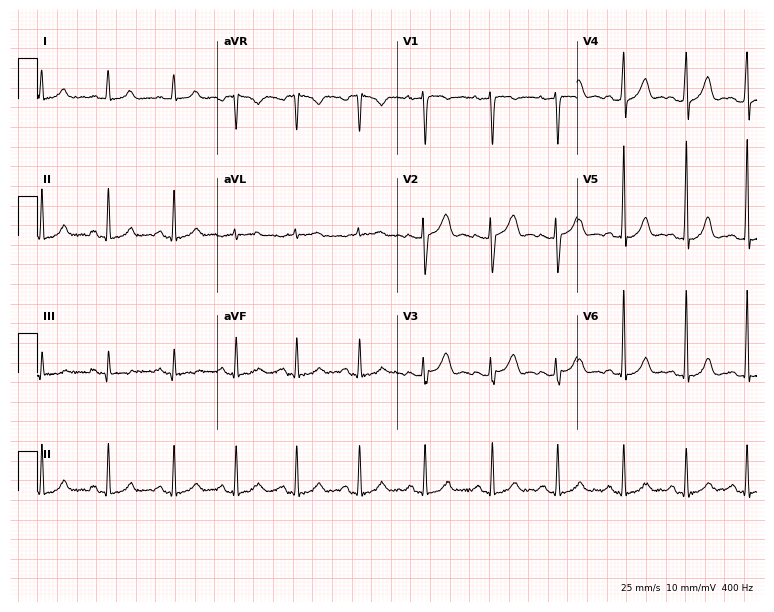
12-lead ECG from a 48-year-old female patient. Screened for six findings — first-degree AV block, right bundle branch block, left bundle branch block, sinus bradycardia, atrial fibrillation, sinus tachycardia — none is recorded. Findings outside these six are not listed.